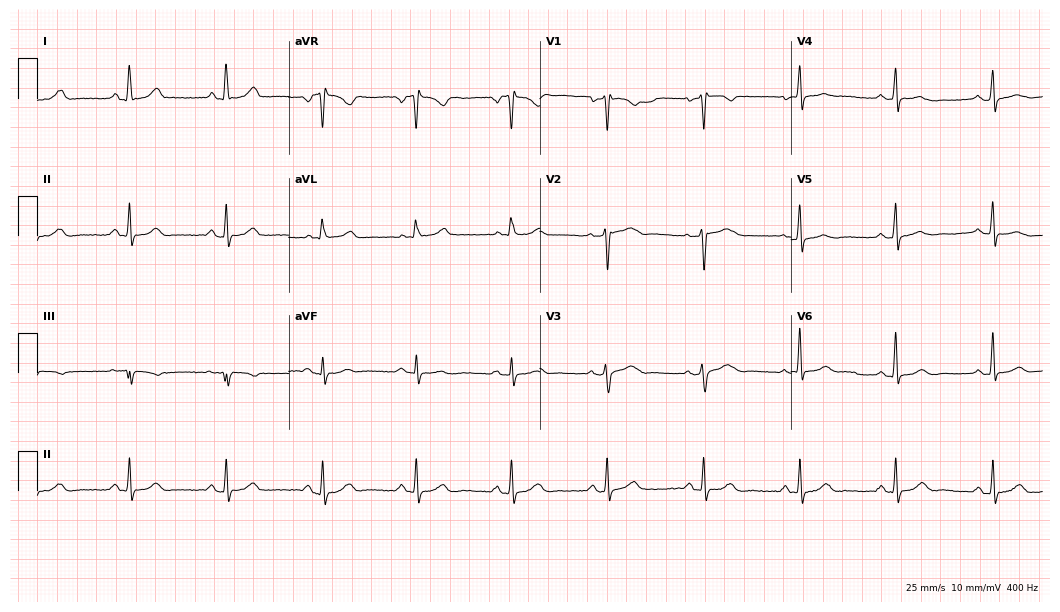
ECG (10.2-second recording at 400 Hz) — a female, 63 years old. Screened for six findings — first-degree AV block, right bundle branch block (RBBB), left bundle branch block (LBBB), sinus bradycardia, atrial fibrillation (AF), sinus tachycardia — none is recorded. Findings outside these six are not listed.